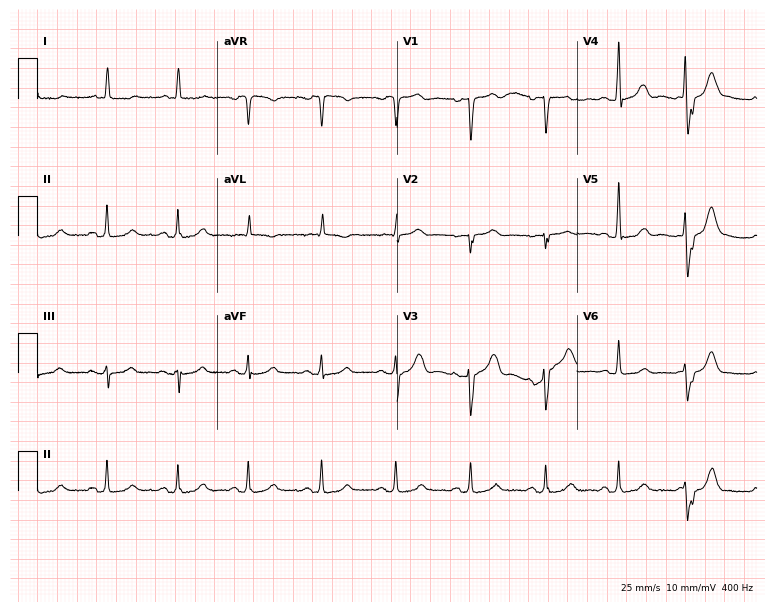
12-lead ECG (7.3-second recording at 400 Hz) from a woman, 84 years old. Screened for six findings — first-degree AV block, right bundle branch block, left bundle branch block, sinus bradycardia, atrial fibrillation, sinus tachycardia — none is recorded.